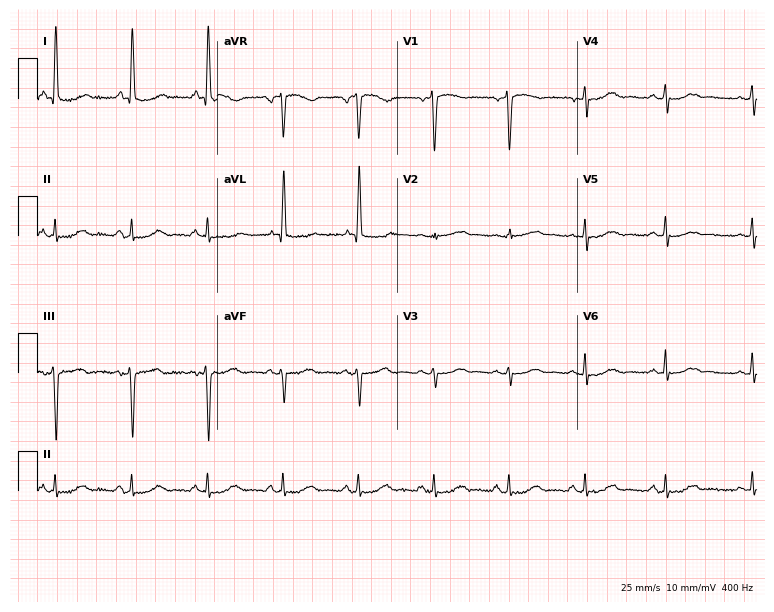
12-lead ECG from a female, 71 years old (7.3-second recording at 400 Hz). Recorded interpretation: within normal limits.